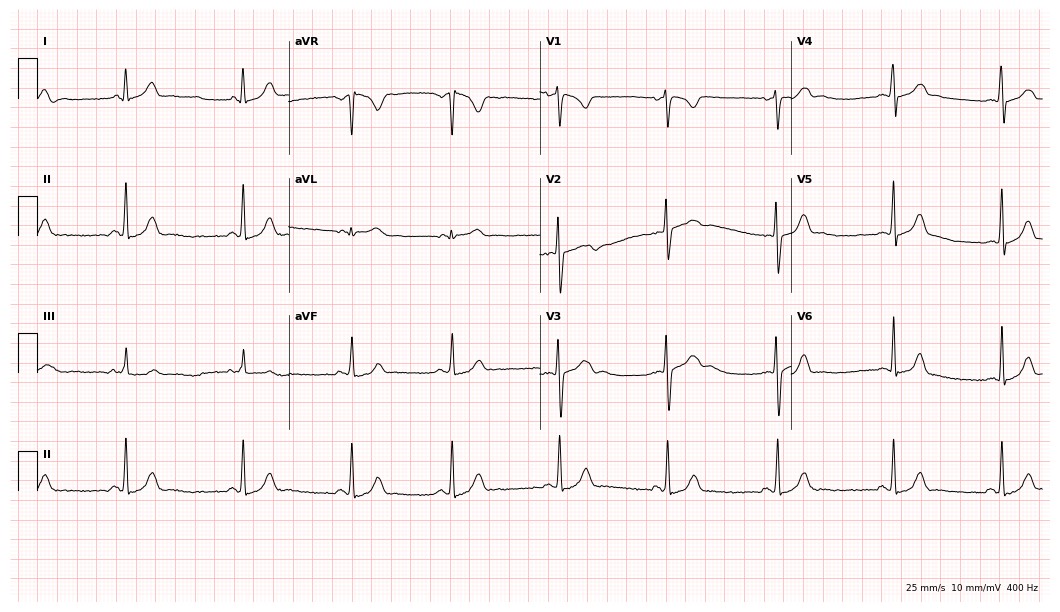
Resting 12-lead electrocardiogram. Patient: a woman, 21 years old. None of these six findings is recorded: first-degree AV block, right bundle branch block, left bundle branch block, sinus bradycardia, atrial fibrillation, sinus tachycardia.